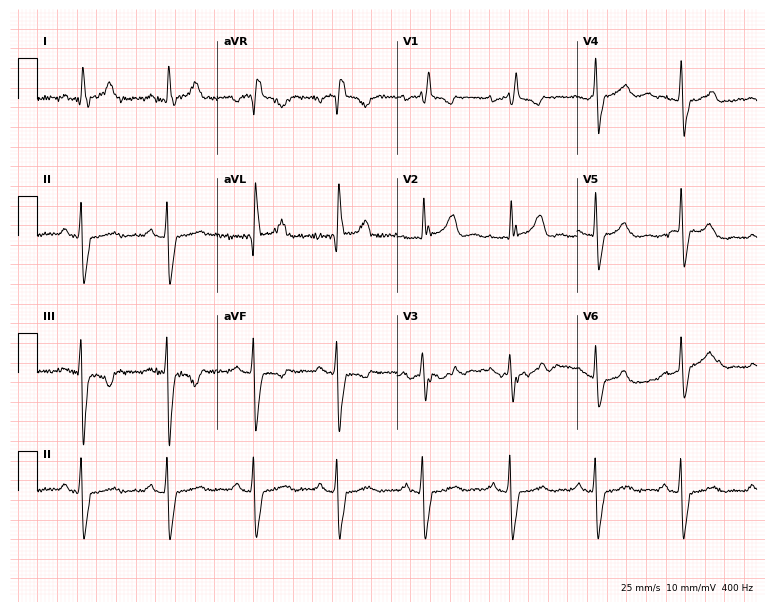
Electrocardiogram (7.3-second recording at 400 Hz), a 73-year-old female. Interpretation includes right bundle branch block.